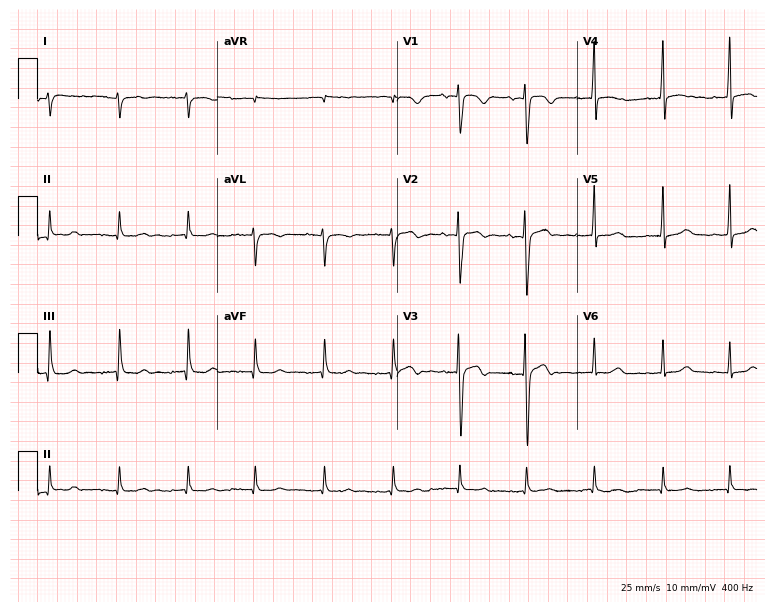
12-lead ECG from a woman, 26 years old. Screened for six findings — first-degree AV block, right bundle branch block, left bundle branch block, sinus bradycardia, atrial fibrillation, sinus tachycardia — none is recorded. Findings outside these six are not listed.